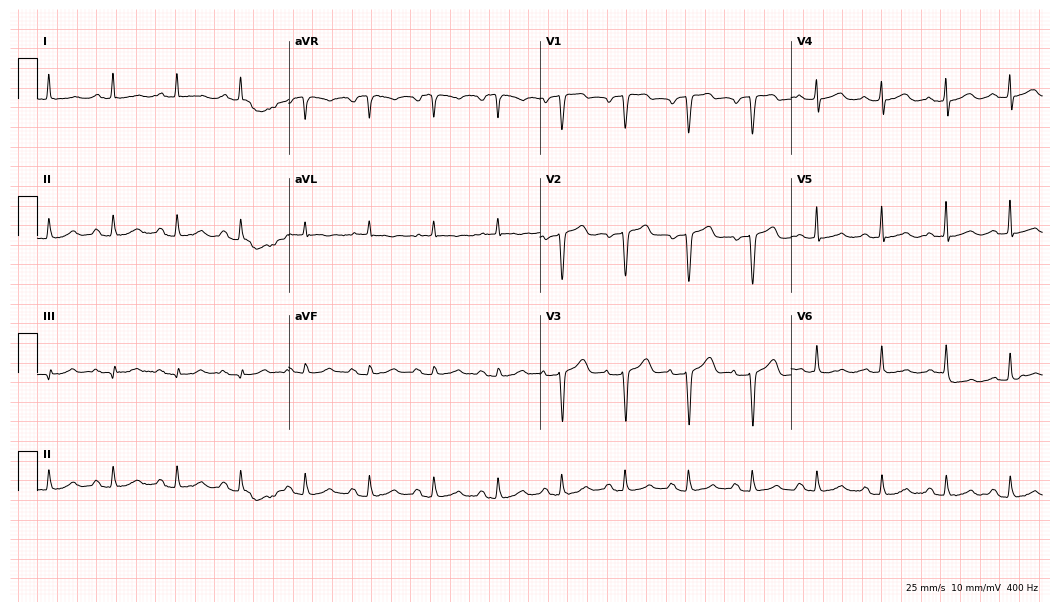
Resting 12-lead electrocardiogram. Patient: a 79-year-old male. None of these six findings is recorded: first-degree AV block, right bundle branch block, left bundle branch block, sinus bradycardia, atrial fibrillation, sinus tachycardia.